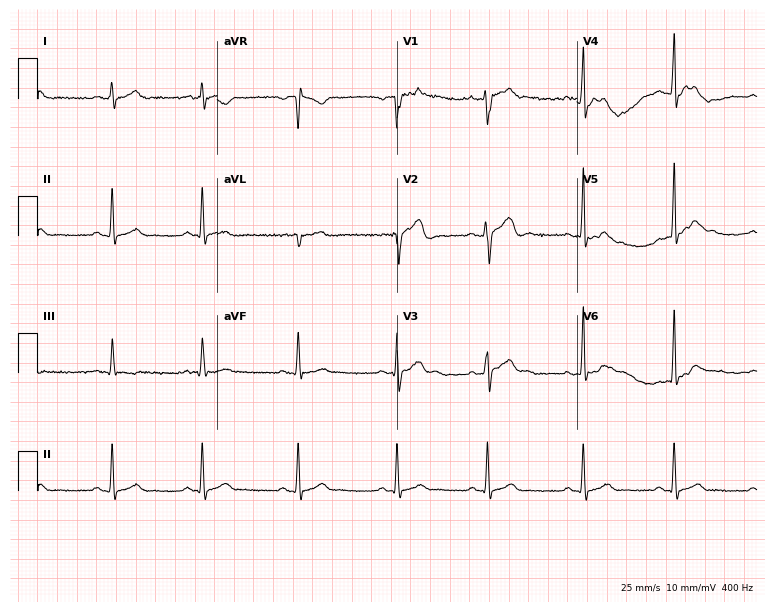
12-lead ECG from a 24-year-old male. Screened for six findings — first-degree AV block, right bundle branch block, left bundle branch block, sinus bradycardia, atrial fibrillation, sinus tachycardia — none is recorded.